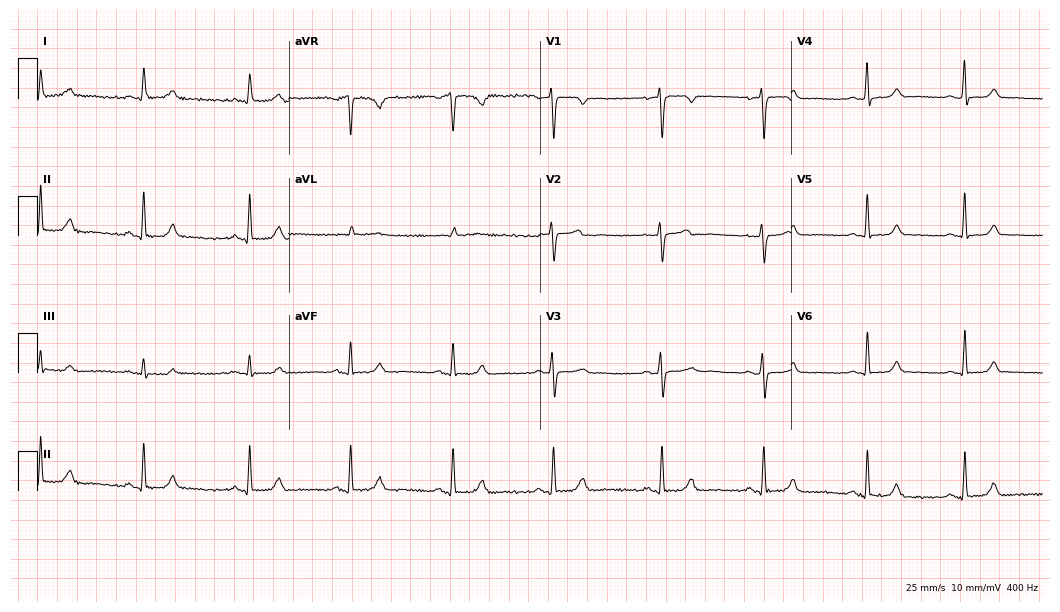
Resting 12-lead electrocardiogram (10.2-second recording at 400 Hz). Patient: a 46-year-old woman. Read as a normal ECG.